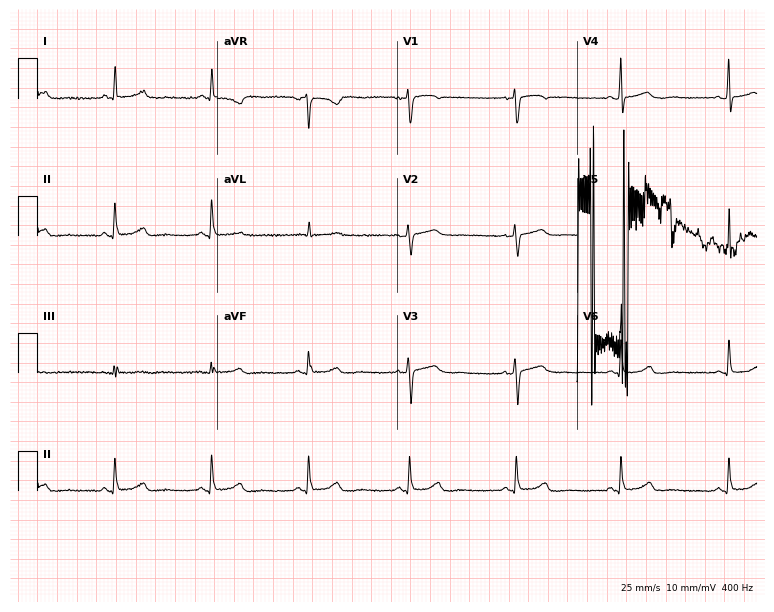
12-lead ECG from a 53-year-old female patient. Screened for six findings — first-degree AV block, right bundle branch block, left bundle branch block, sinus bradycardia, atrial fibrillation, sinus tachycardia — none is recorded.